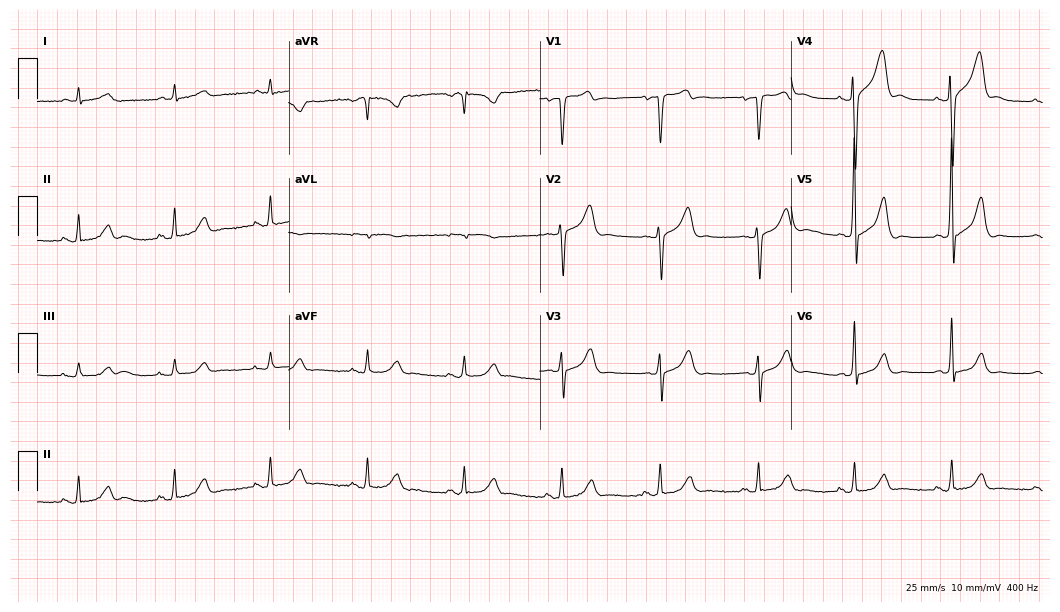
Electrocardiogram, a 71-year-old male patient. Of the six screened findings (first-degree AV block, right bundle branch block, left bundle branch block, sinus bradycardia, atrial fibrillation, sinus tachycardia), none is recorded.